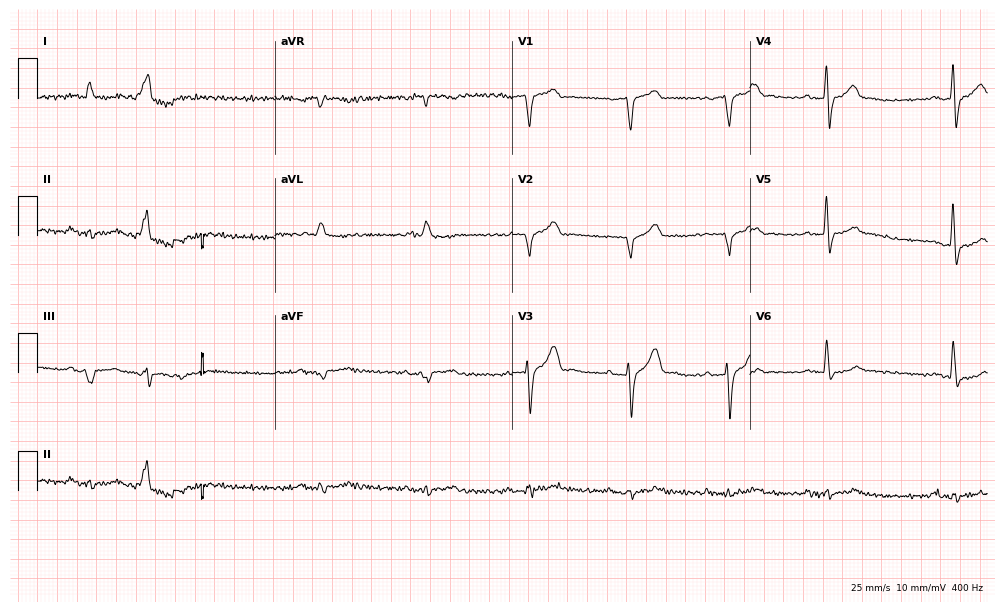
Standard 12-lead ECG recorded from an 82-year-old male patient. None of these six findings is recorded: first-degree AV block, right bundle branch block, left bundle branch block, sinus bradycardia, atrial fibrillation, sinus tachycardia. Other findings, if any, are not listed.